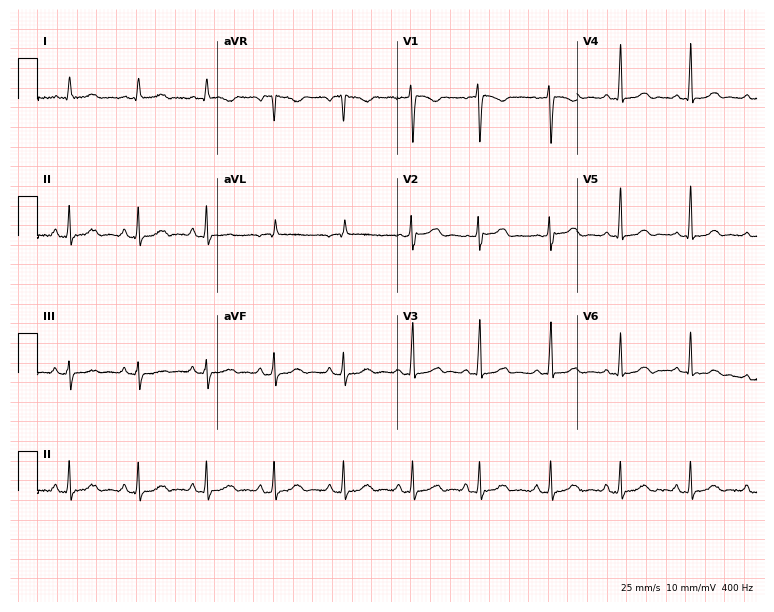
12-lead ECG from a 39-year-old female. Recorded interpretation: within normal limits.